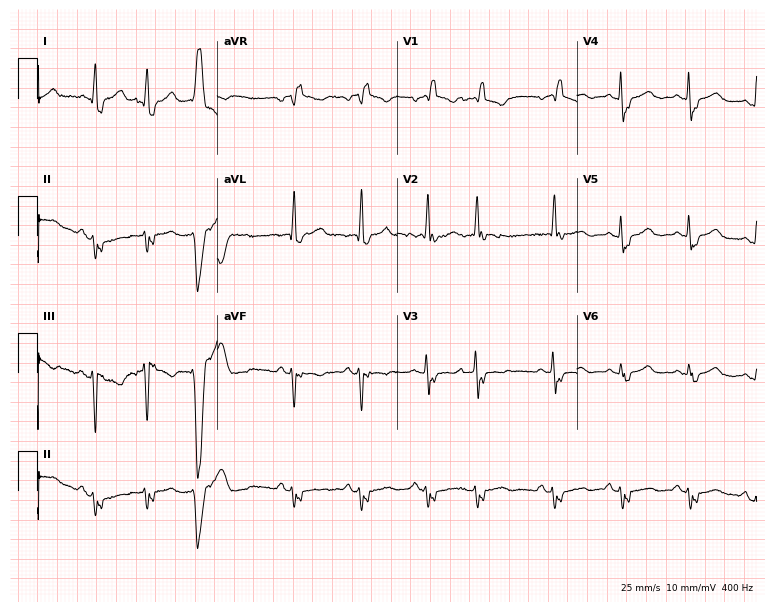
12-lead ECG from a 73-year-old female (7.3-second recording at 400 Hz). Shows right bundle branch block.